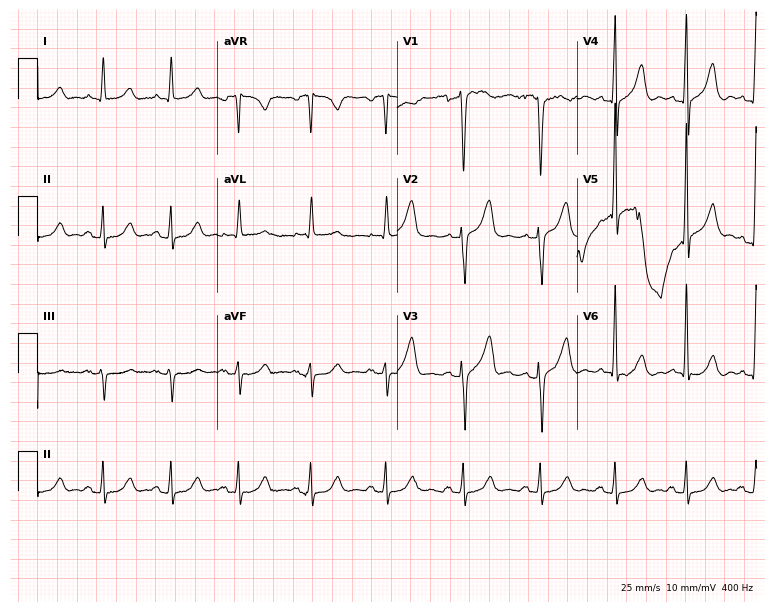
Resting 12-lead electrocardiogram (7.3-second recording at 400 Hz). Patient: a 49-year-old male. None of these six findings is recorded: first-degree AV block, right bundle branch block (RBBB), left bundle branch block (LBBB), sinus bradycardia, atrial fibrillation (AF), sinus tachycardia. Other findings, if any, are not listed.